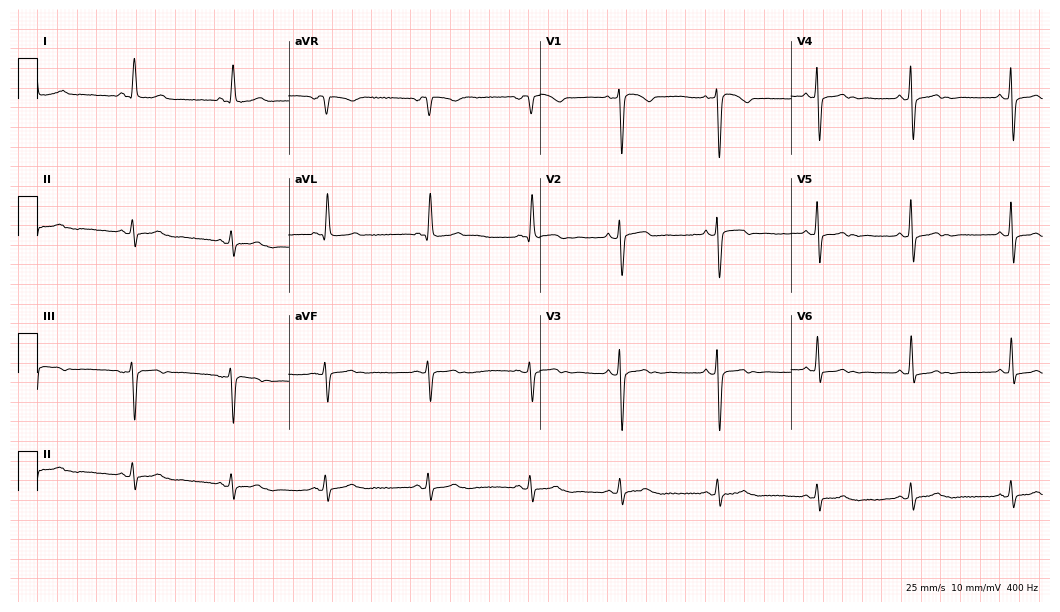
Electrocardiogram (10.2-second recording at 400 Hz), a 76-year-old female patient. Overall reading on record: normal ECG.